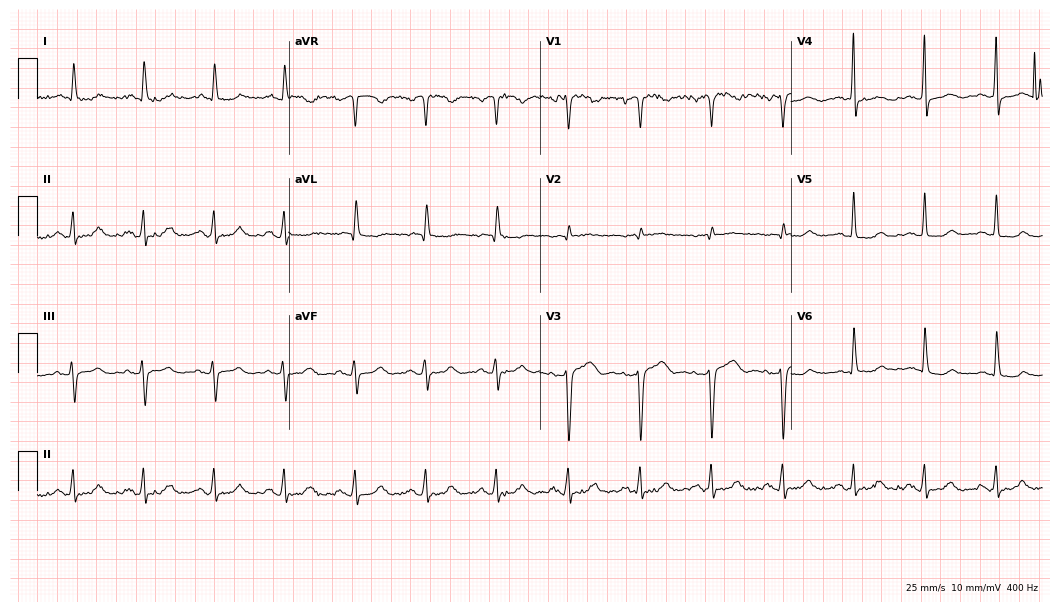
ECG — a woman, 56 years old. Screened for six findings — first-degree AV block, right bundle branch block, left bundle branch block, sinus bradycardia, atrial fibrillation, sinus tachycardia — none is recorded. Findings outside these six are not listed.